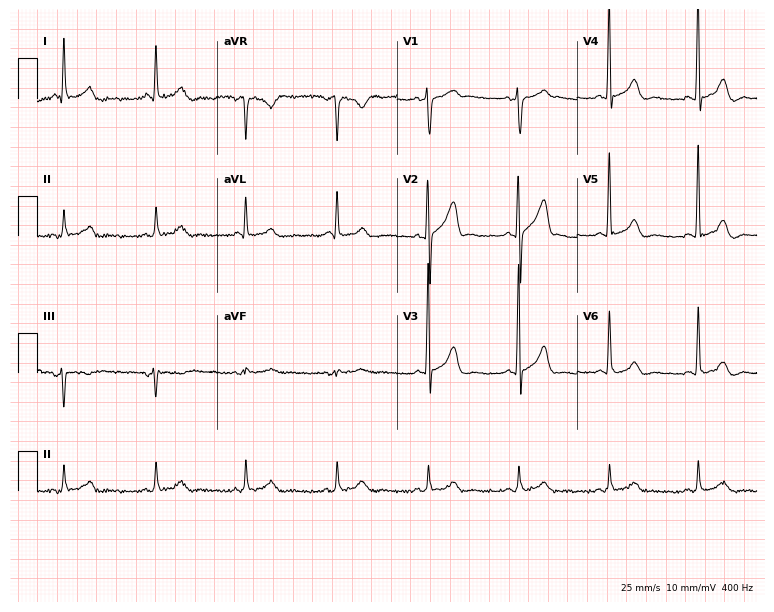
12-lead ECG (7.3-second recording at 400 Hz) from a male patient, 72 years old. Screened for six findings — first-degree AV block, right bundle branch block (RBBB), left bundle branch block (LBBB), sinus bradycardia, atrial fibrillation (AF), sinus tachycardia — none is recorded. Other findings, if any, are not listed.